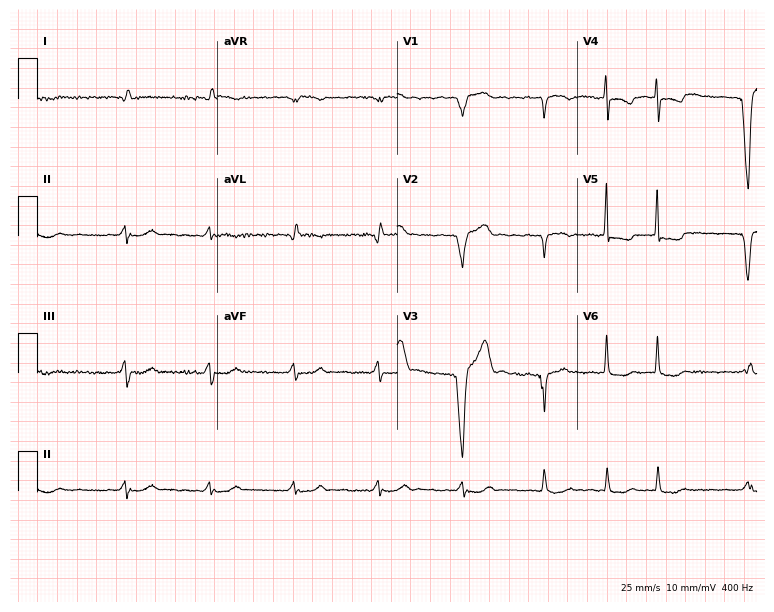
Electrocardiogram, an 82-year-old woman. Of the six screened findings (first-degree AV block, right bundle branch block, left bundle branch block, sinus bradycardia, atrial fibrillation, sinus tachycardia), none is recorded. Other findings, if any, are not listed.